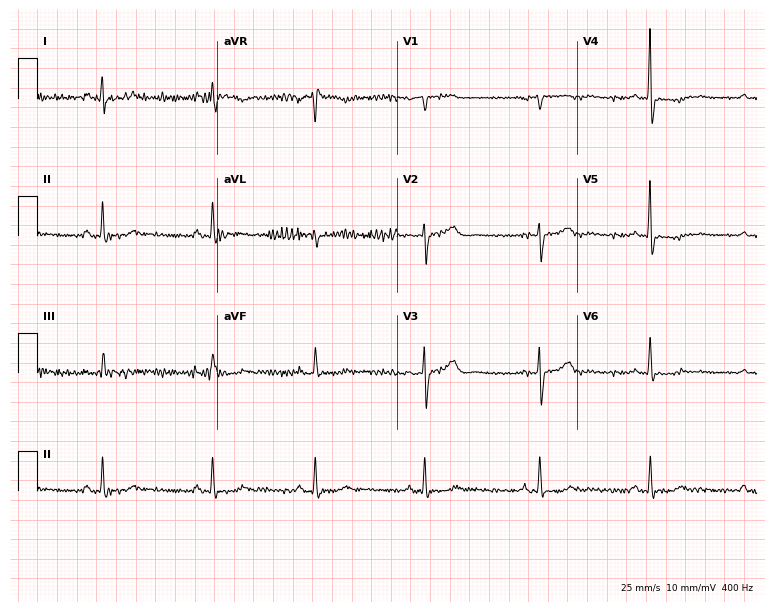
12-lead ECG from a woman, 68 years old (7.3-second recording at 400 Hz). No first-degree AV block, right bundle branch block (RBBB), left bundle branch block (LBBB), sinus bradycardia, atrial fibrillation (AF) or sinus tachycardia recorded for this tracing.